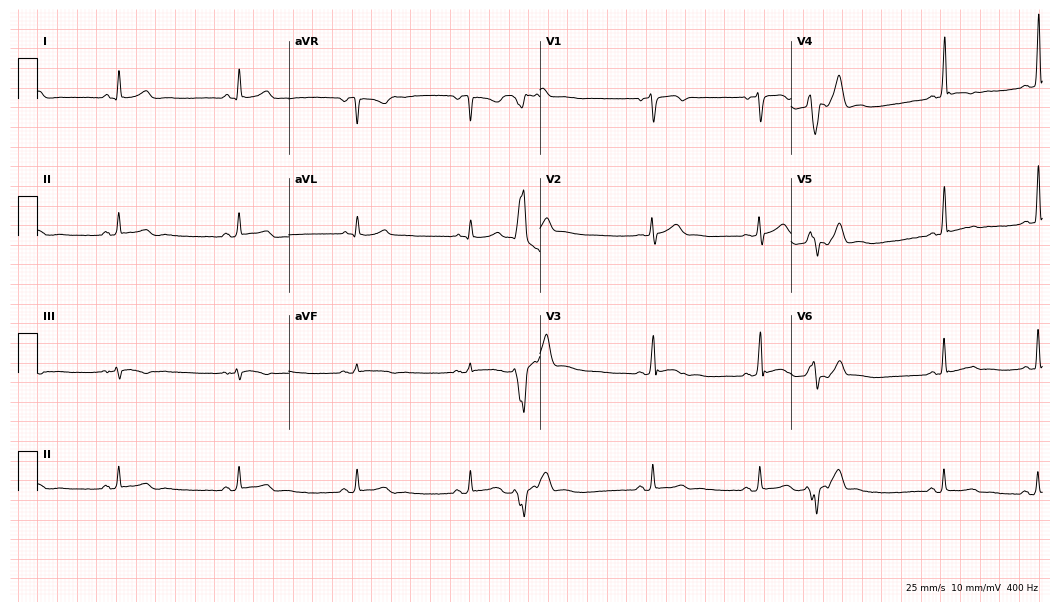
Electrocardiogram, a 52-year-old male patient. Of the six screened findings (first-degree AV block, right bundle branch block, left bundle branch block, sinus bradycardia, atrial fibrillation, sinus tachycardia), none is recorded.